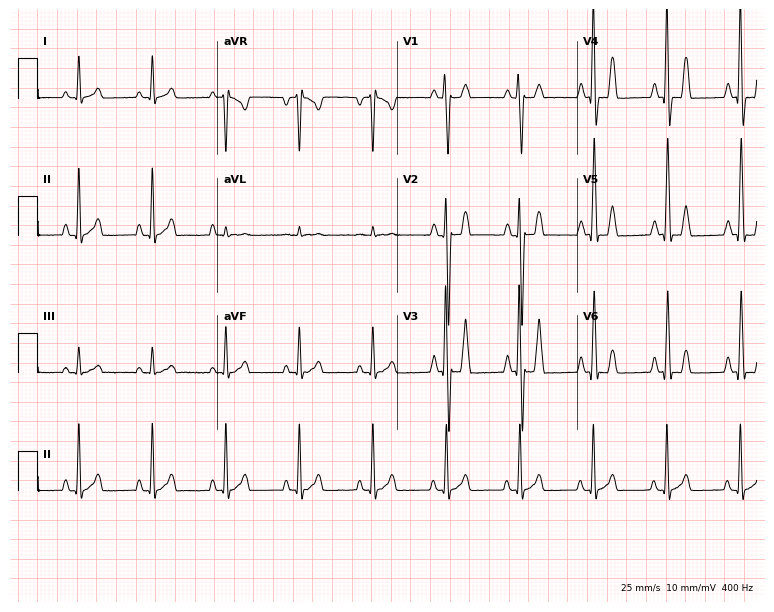
12-lead ECG from a woman, 55 years old. No first-degree AV block, right bundle branch block, left bundle branch block, sinus bradycardia, atrial fibrillation or sinus tachycardia recorded for this tracing. Findings outside these six are not listed.